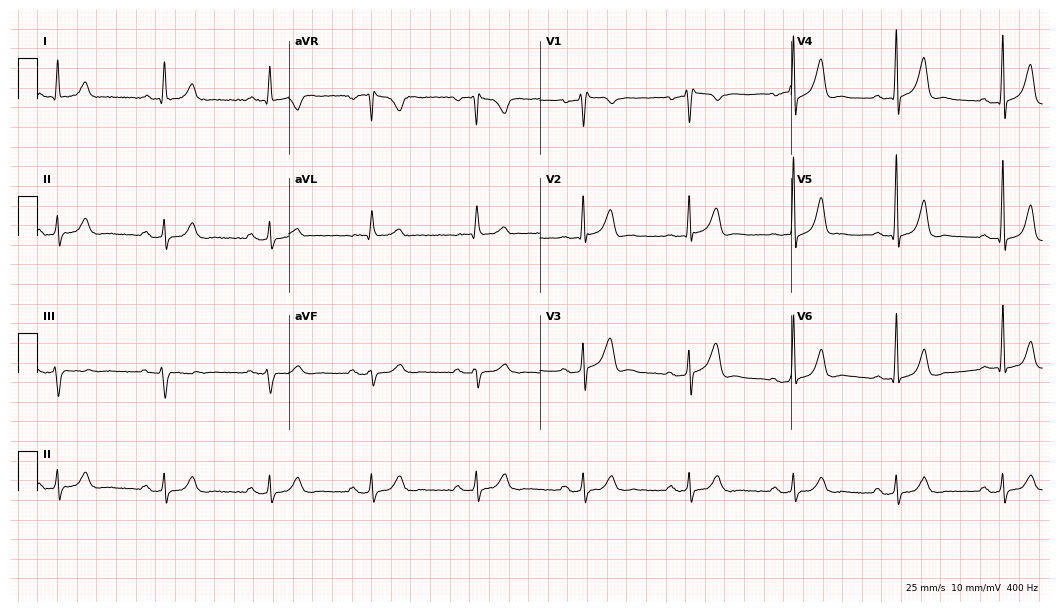
Standard 12-lead ECG recorded from a man, 68 years old. None of these six findings is recorded: first-degree AV block, right bundle branch block, left bundle branch block, sinus bradycardia, atrial fibrillation, sinus tachycardia.